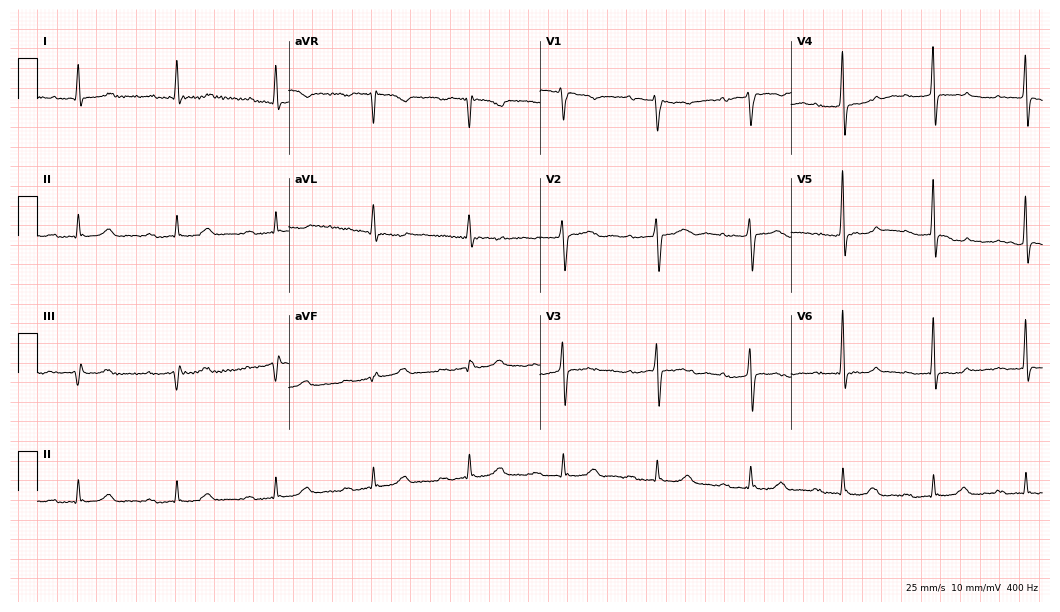
Resting 12-lead electrocardiogram. Patient: an 84-year-old male. Read as a normal ECG.